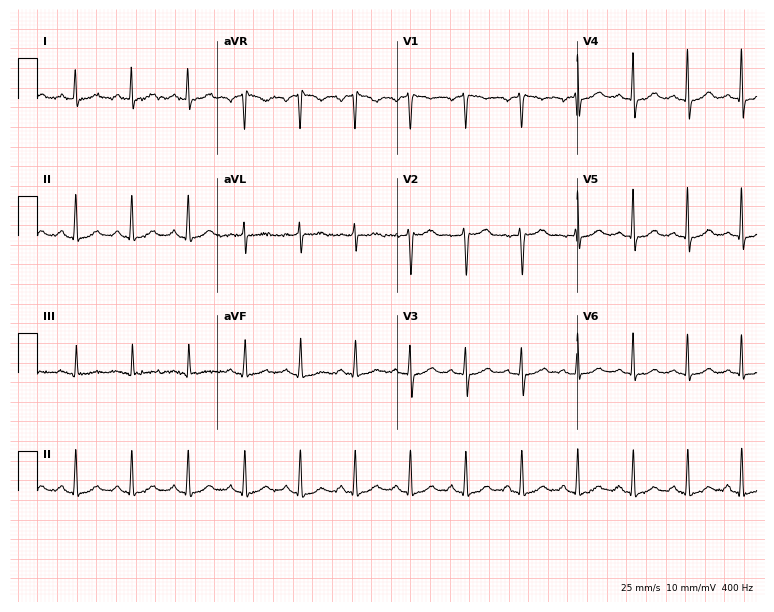
Resting 12-lead electrocardiogram (7.3-second recording at 400 Hz). Patient: a female, 43 years old. The tracing shows sinus tachycardia (a sinus rate of 100 beats per minute or more).